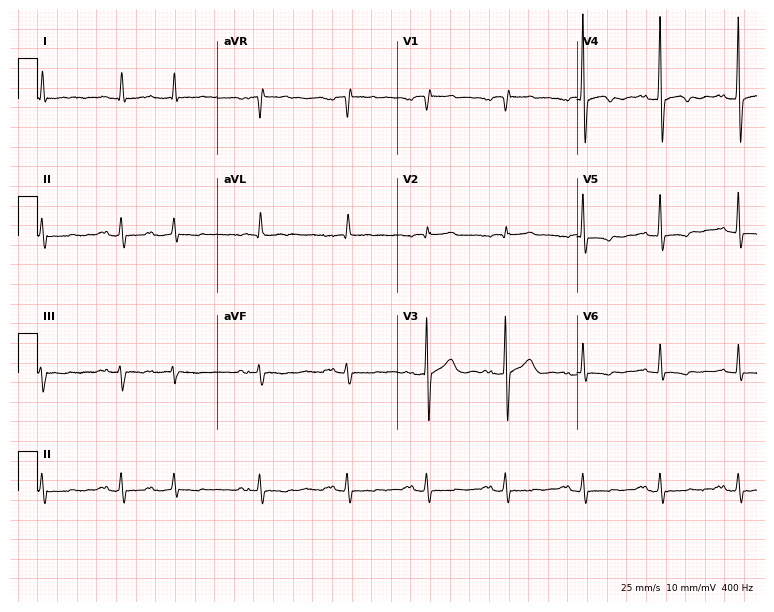
12-lead ECG from a male, 81 years old. Labelled as a normal ECG.